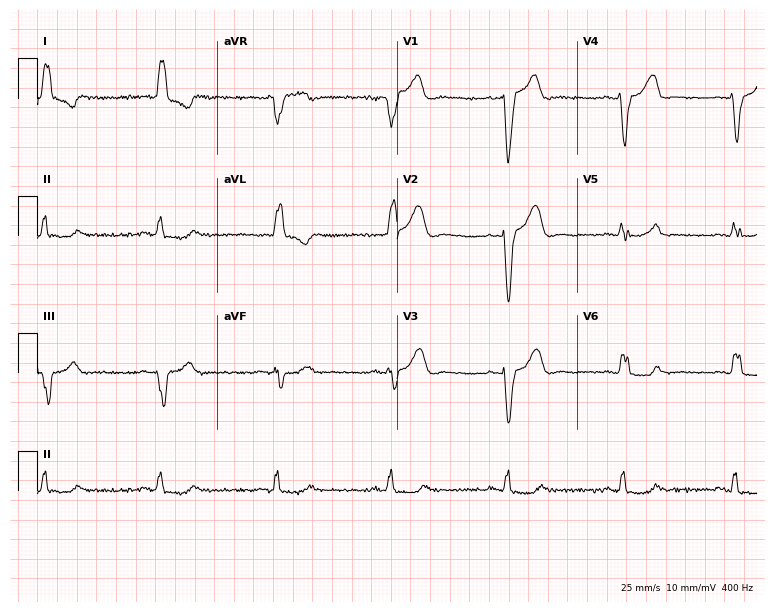
Standard 12-lead ECG recorded from an 84-year-old female. The tracing shows left bundle branch block.